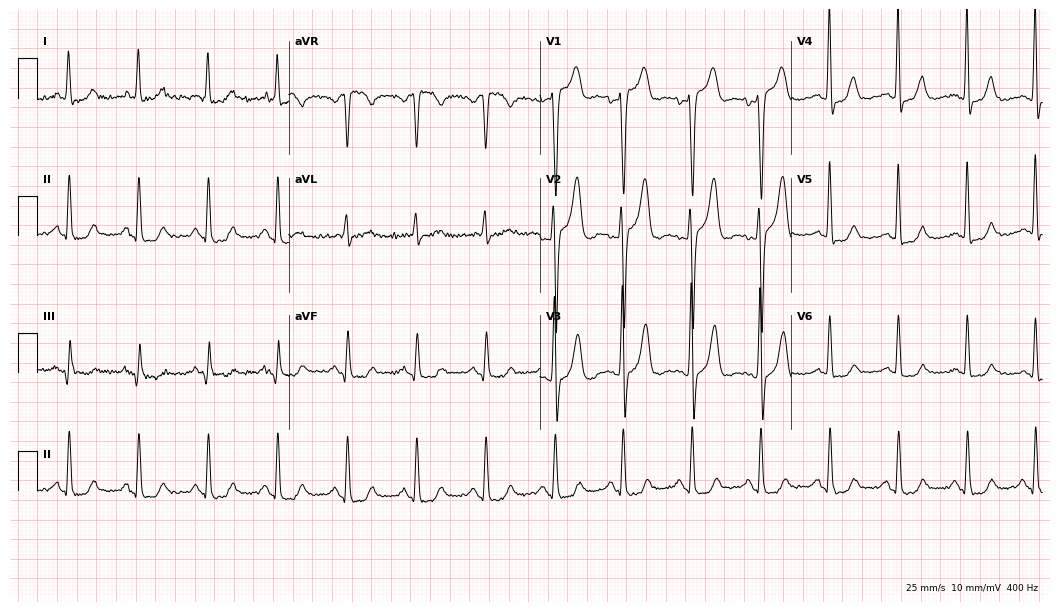
12-lead ECG from a 62-year-old man. No first-degree AV block, right bundle branch block, left bundle branch block, sinus bradycardia, atrial fibrillation or sinus tachycardia recorded for this tracing. Only these six findings were labelled.